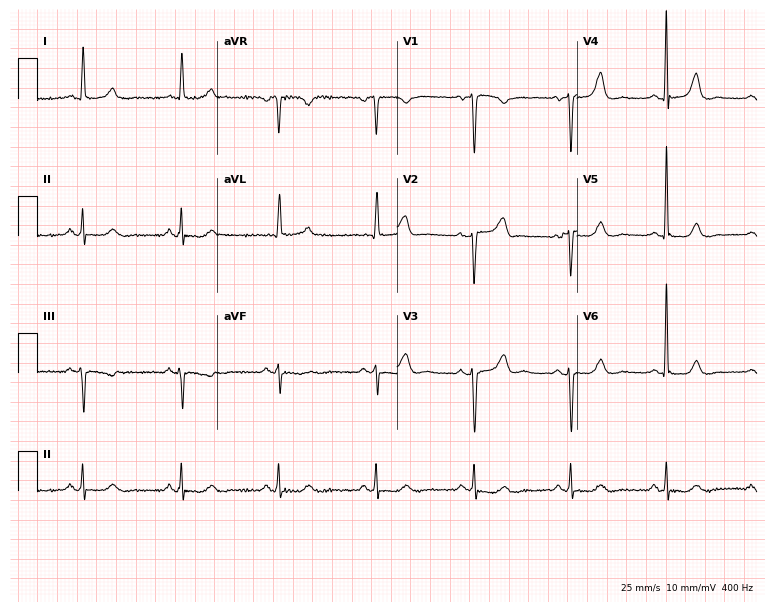
12-lead ECG from a woman, 65 years old. No first-degree AV block, right bundle branch block, left bundle branch block, sinus bradycardia, atrial fibrillation or sinus tachycardia recorded for this tracing. Only these six findings were labelled.